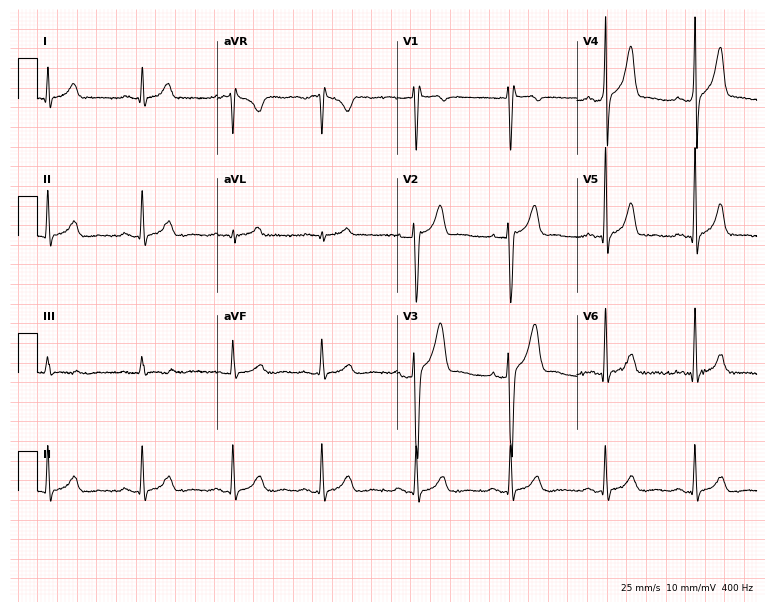
Resting 12-lead electrocardiogram (7.3-second recording at 400 Hz). Patient: a 30-year-old man. Read as a normal ECG.